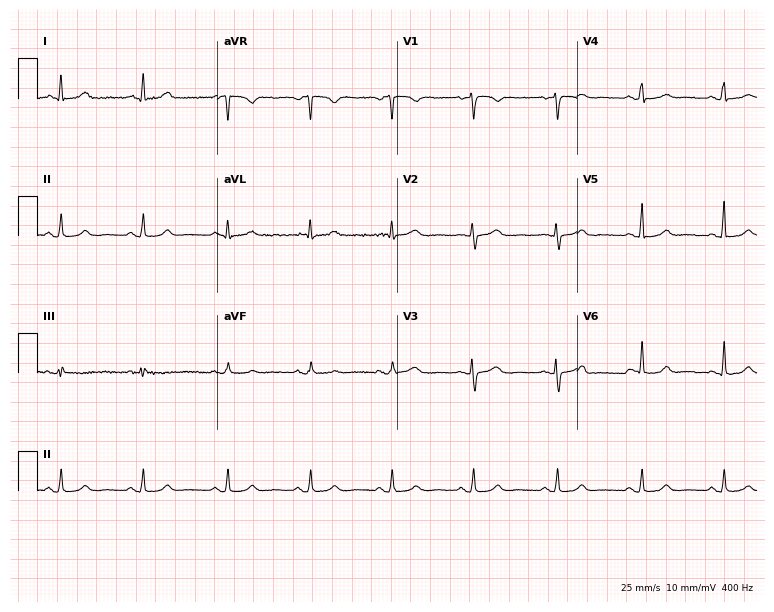
12-lead ECG from a woman, 49 years old. Labelled as a normal ECG.